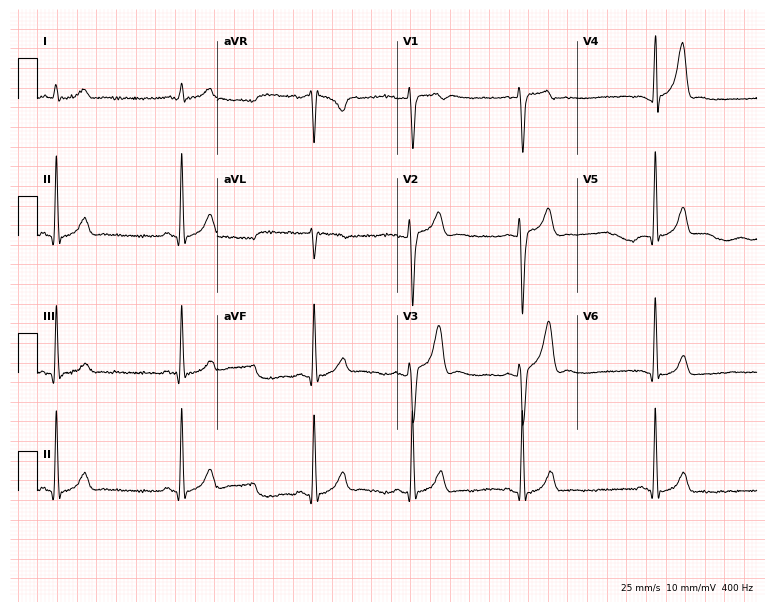
Standard 12-lead ECG recorded from a male, 21 years old. Read as a normal ECG.